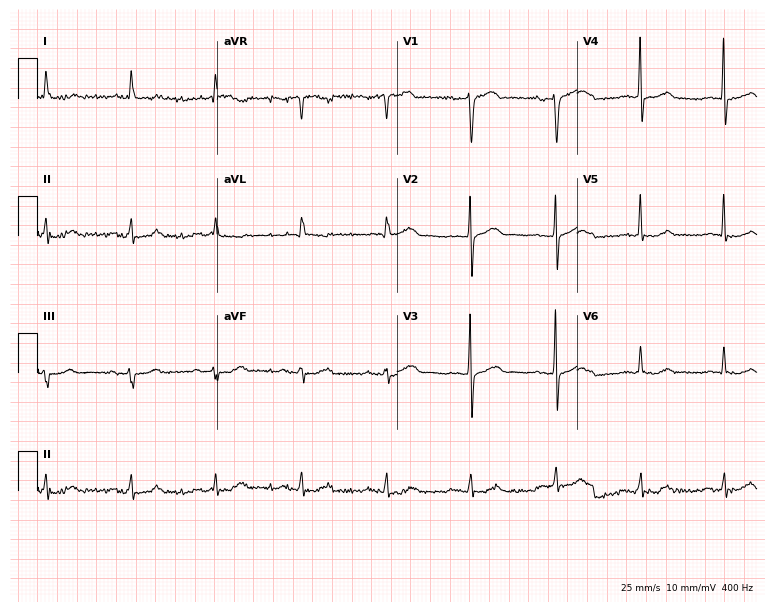
12-lead ECG from a 68-year-old man. Recorded interpretation: within normal limits.